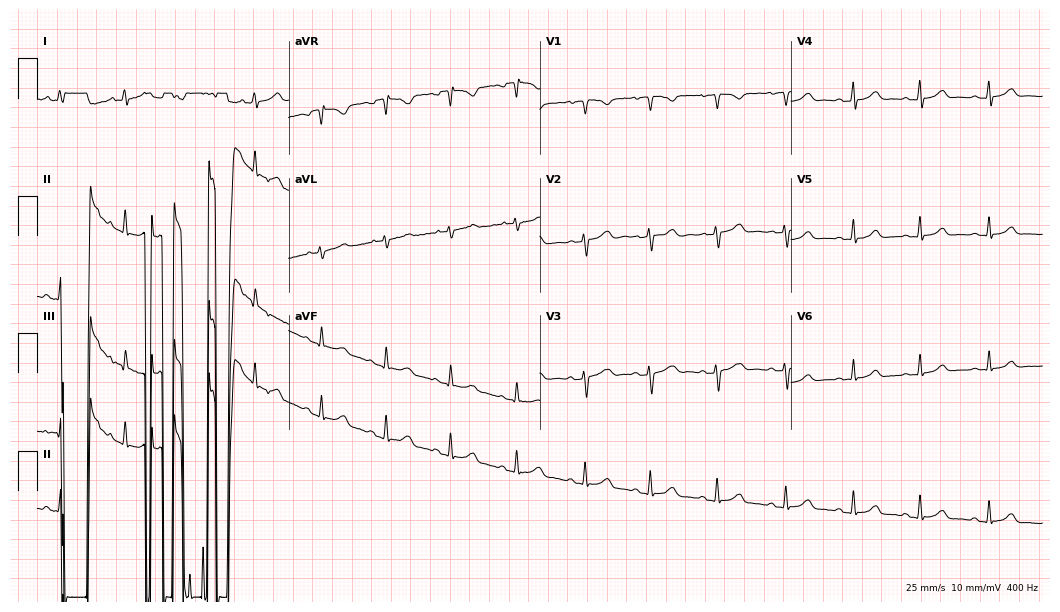
Electrocardiogram (10.2-second recording at 400 Hz), a 29-year-old female patient. Of the six screened findings (first-degree AV block, right bundle branch block (RBBB), left bundle branch block (LBBB), sinus bradycardia, atrial fibrillation (AF), sinus tachycardia), none is recorded. Findings outside these six are not listed.